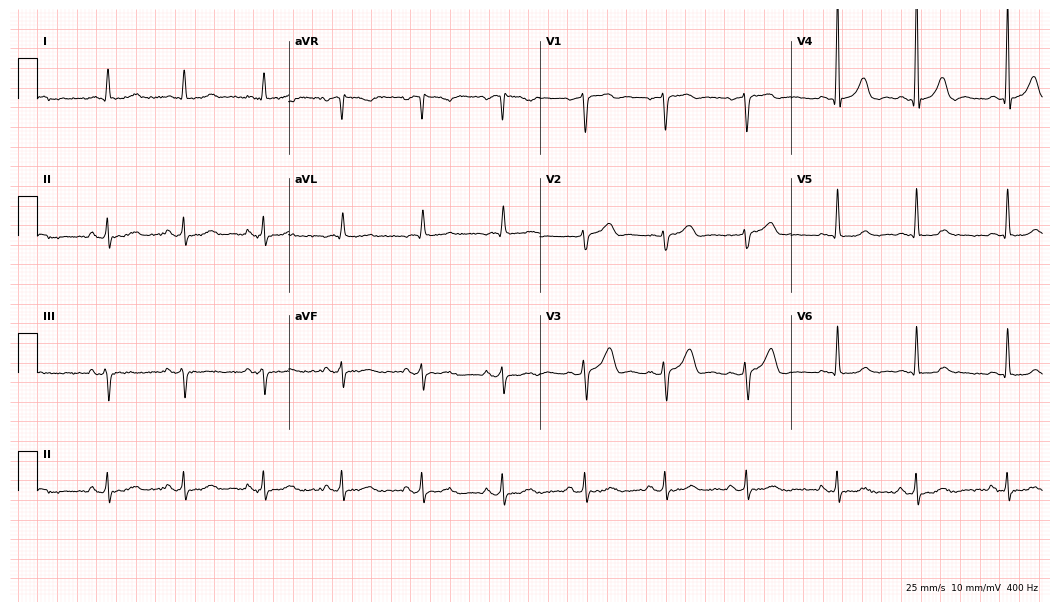
12-lead ECG from a 73-year-old male patient. Recorded interpretation: within normal limits.